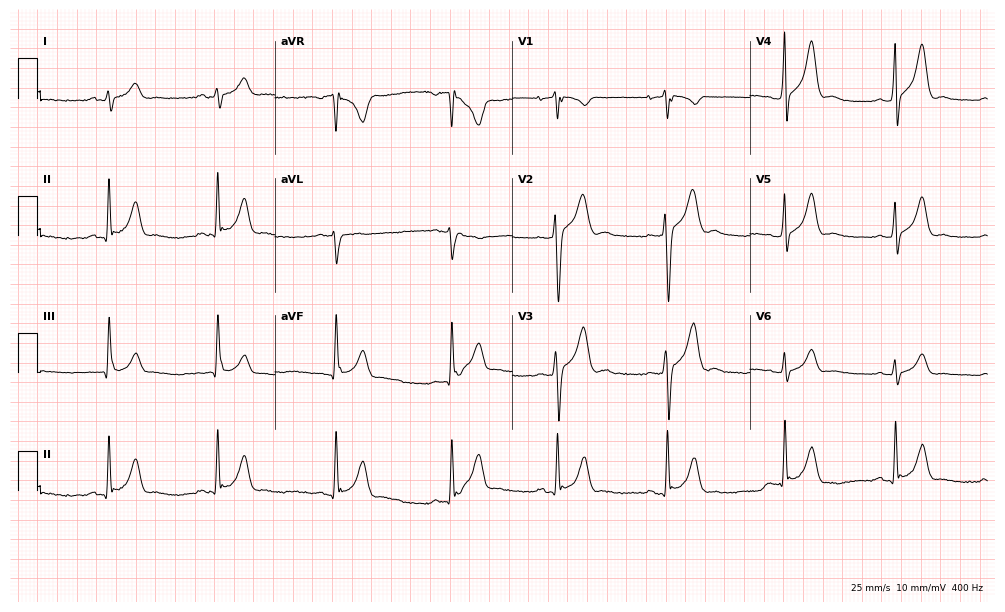
Electrocardiogram, a male patient, 20 years old. Of the six screened findings (first-degree AV block, right bundle branch block, left bundle branch block, sinus bradycardia, atrial fibrillation, sinus tachycardia), none is recorded.